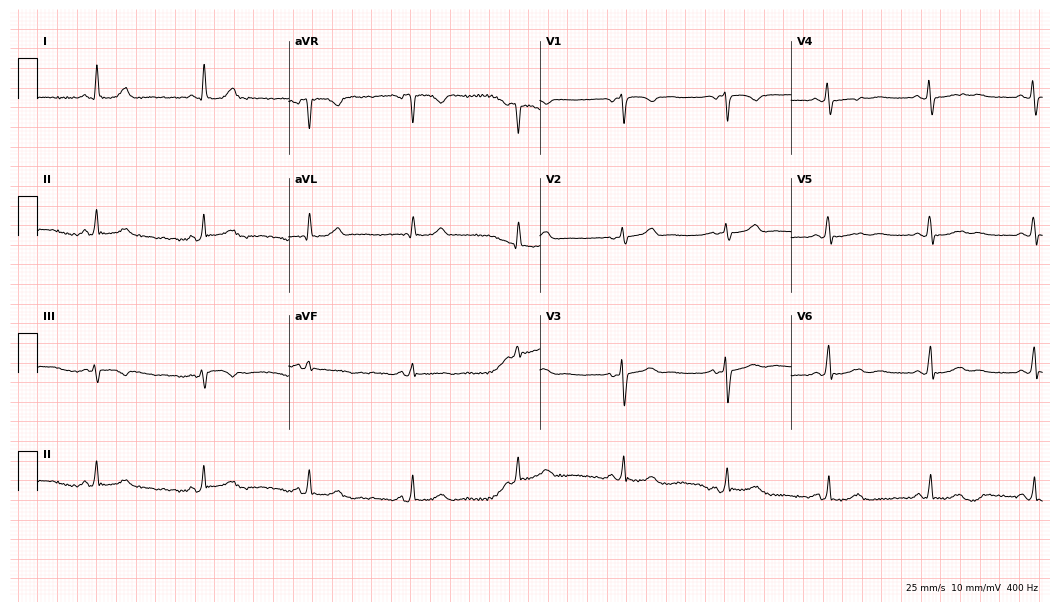
Standard 12-lead ECG recorded from a 58-year-old female (10.2-second recording at 400 Hz). None of these six findings is recorded: first-degree AV block, right bundle branch block, left bundle branch block, sinus bradycardia, atrial fibrillation, sinus tachycardia.